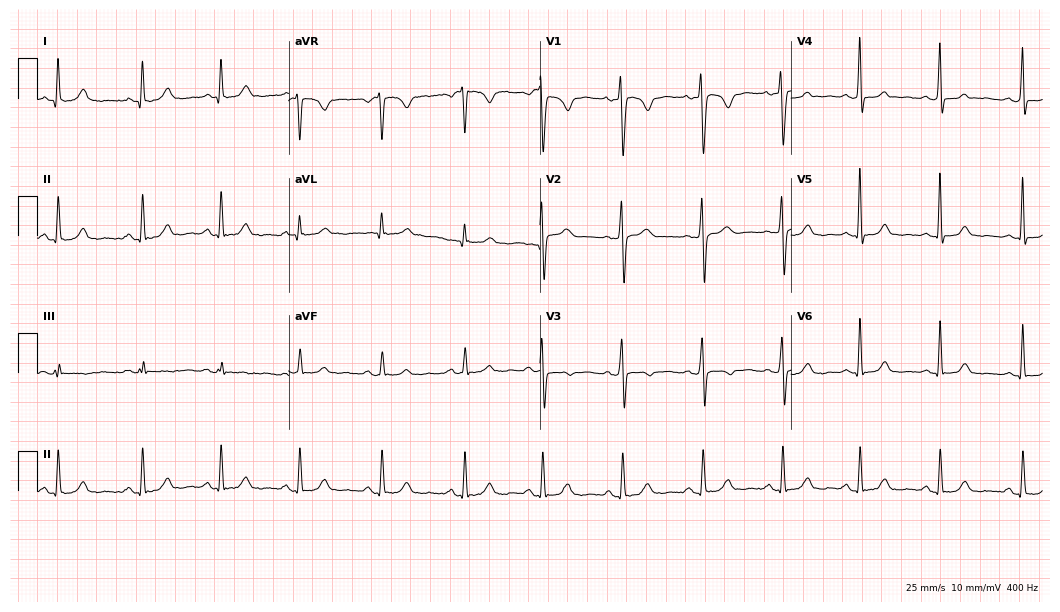
Electrocardiogram (10.2-second recording at 400 Hz), a 35-year-old female. Overall reading on record: normal ECG.